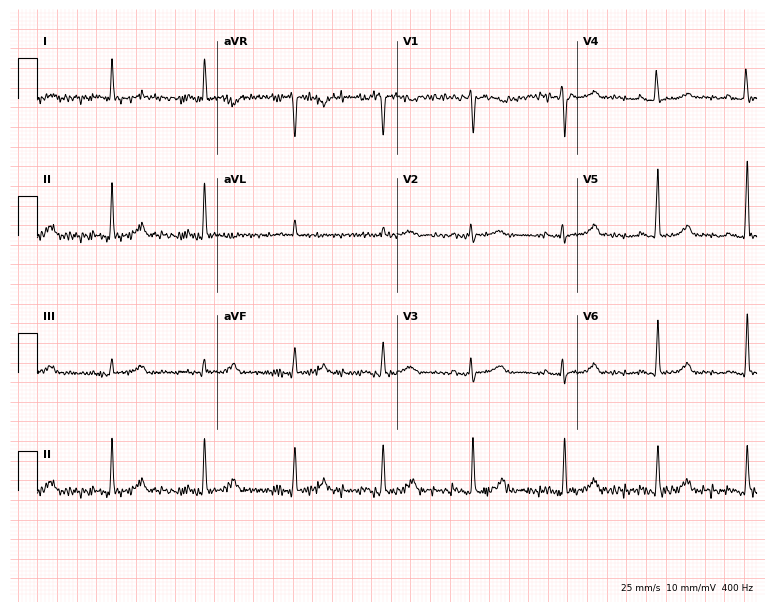
12-lead ECG from a woman, 57 years old (7.3-second recording at 400 Hz). Recorded interpretation: within normal limits.